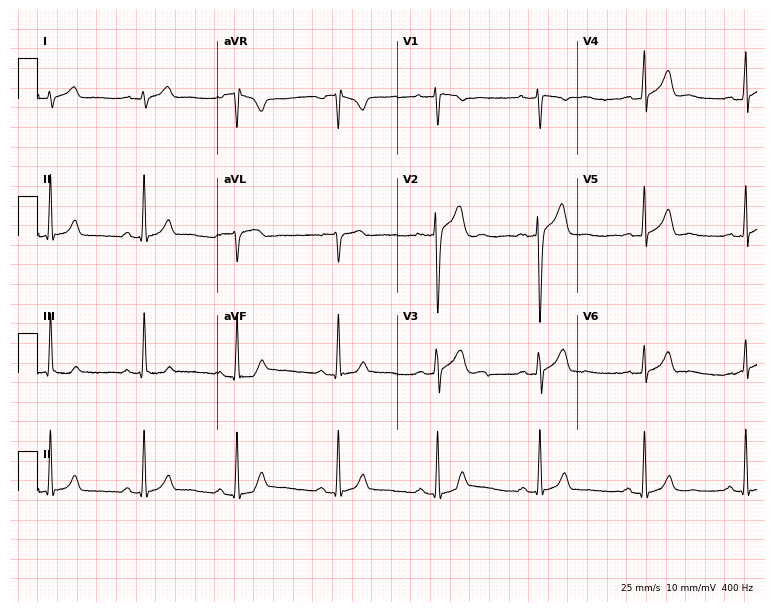
Electrocardiogram, a 29-year-old male. Of the six screened findings (first-degree AV block, right bundle branch block, left bundle branch block, sinus bradycardia, atrial fibrillation, sinus tachycardia), none is recorded. Other findings, if any, are not listed.